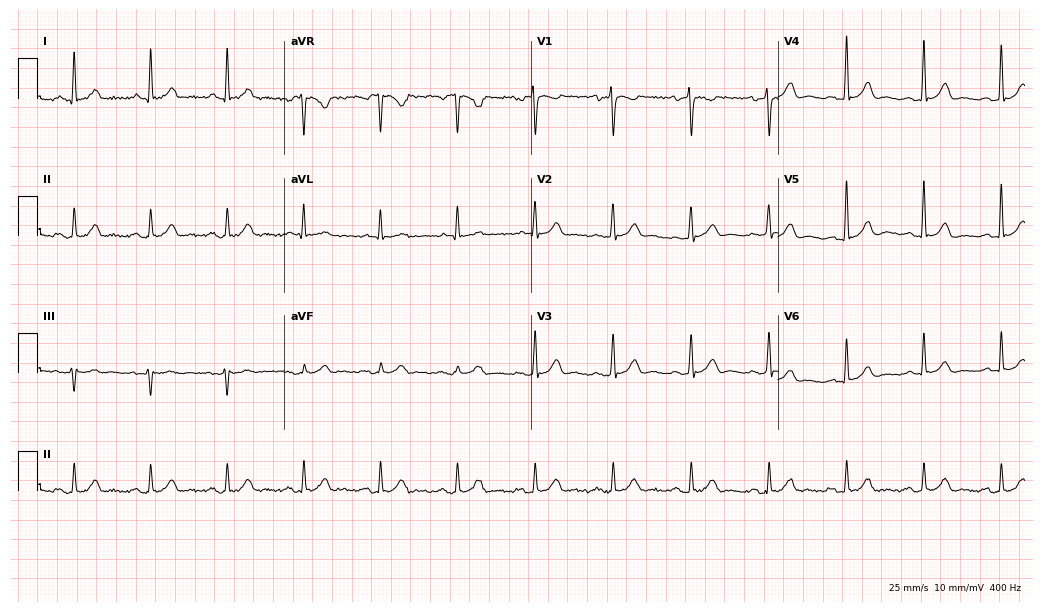
12-lead ECG (10.1-second recording at 400 Hz) from a male patient, 61 years old. Labelled as a normal ECG.